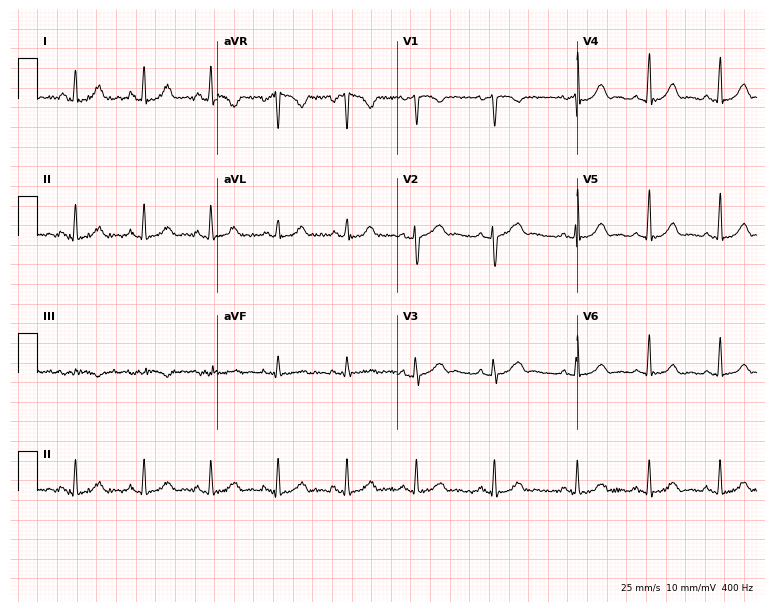
Electrocardiogram, a woman, 20 years old. Overall reading on record: normal ECG.